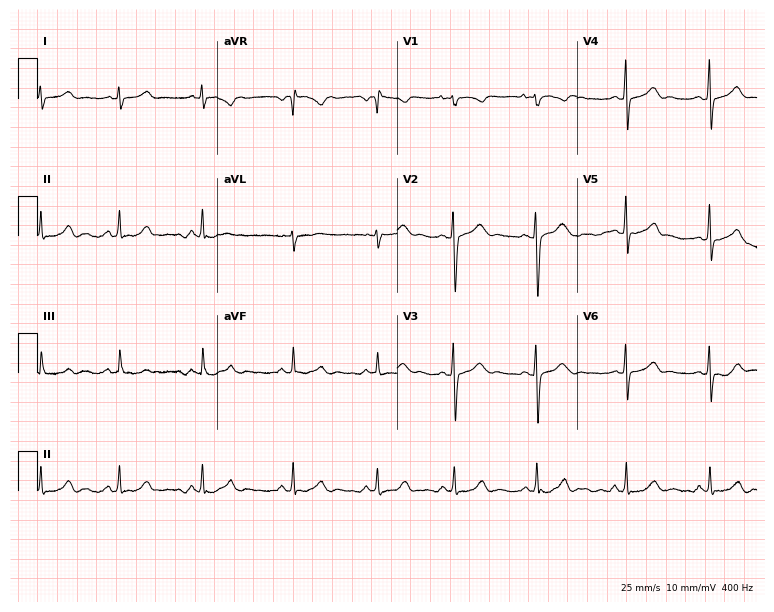
ECG (7.3-second recording at 400 Hz) — a female patient, 19 years old. Screened for six findings — first-degree AV block, right bundle branch block (RBBB), left bundle branch block (LBBB), sinus bradycardia, atrial fibrillation (AF), sinus tachycardia — none is recorded. Only these six findings were labelled.